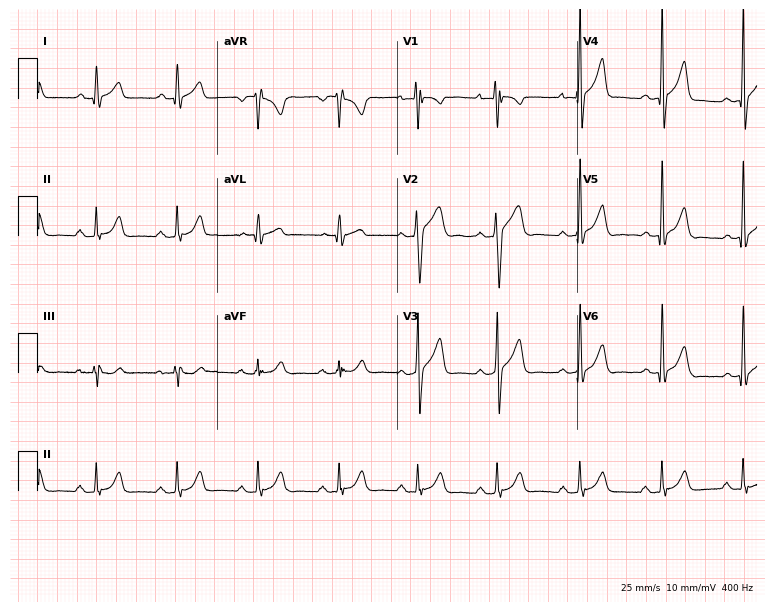
Electrocardiogram, a 22-year-old male. Overall reading on record: normal ECG.